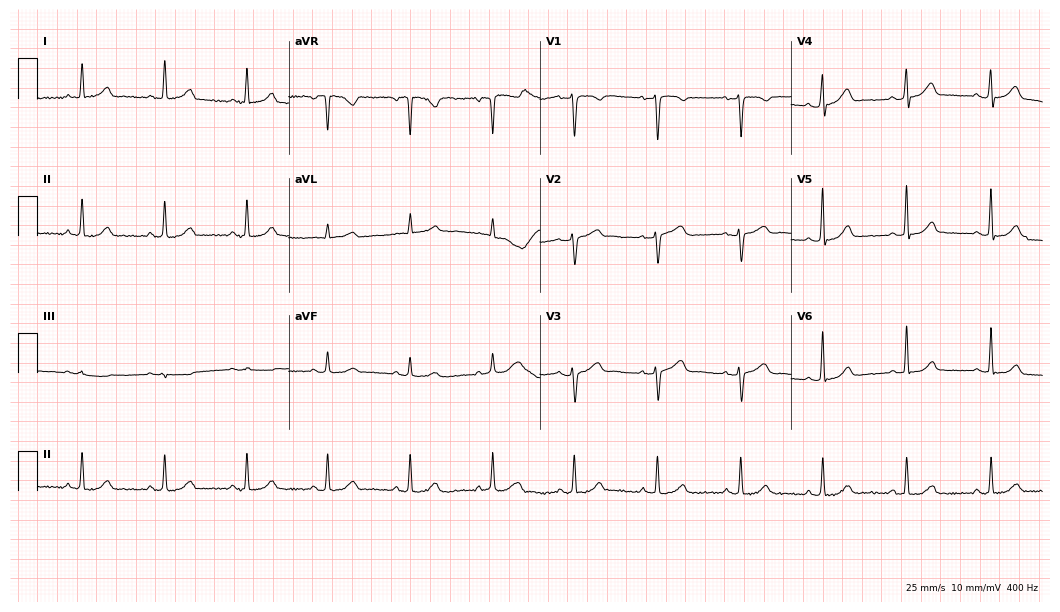
ECG (10.2-second recording at 400 Hz) — a 40-year-old woman. Labelled as a normal ECG.